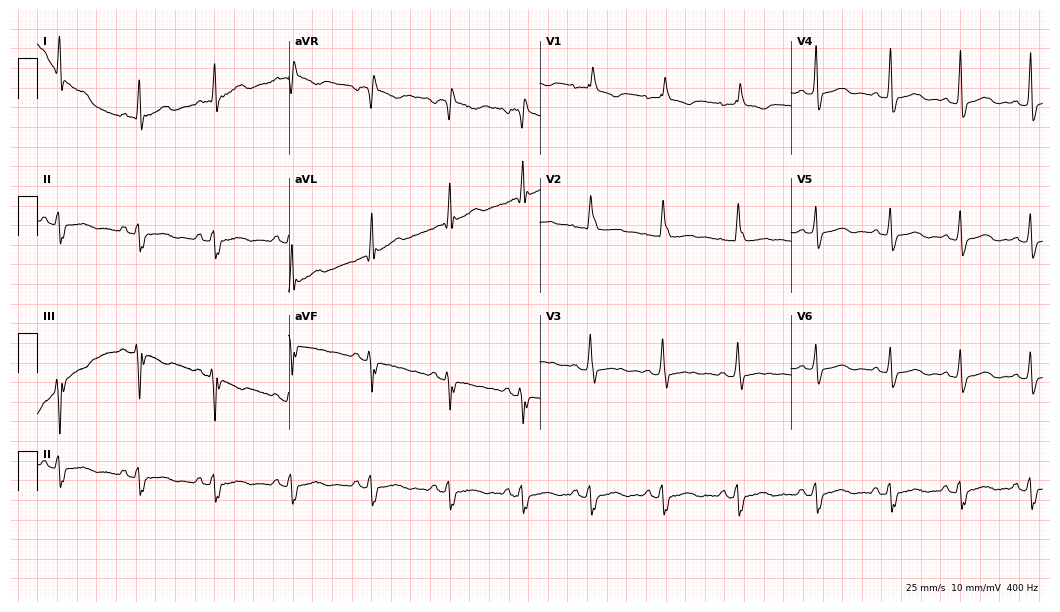
Electrocardiogram, a 52-year-old female. Interpretation includes right bundle branch block.